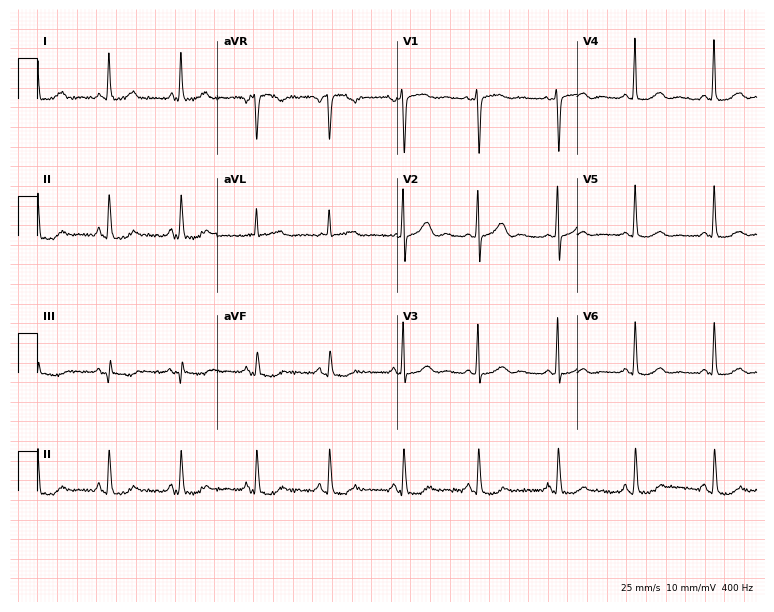
12-lead ECG from a female patient, 66 years old. No first-degree AV block, right bundle branch block (RBBB), left bundle branch block (LBBB), sinus bradycardia, atrial fibrillation (AF) or sinus tachycardia recorded for this tracing. Only these six findings were labelled.